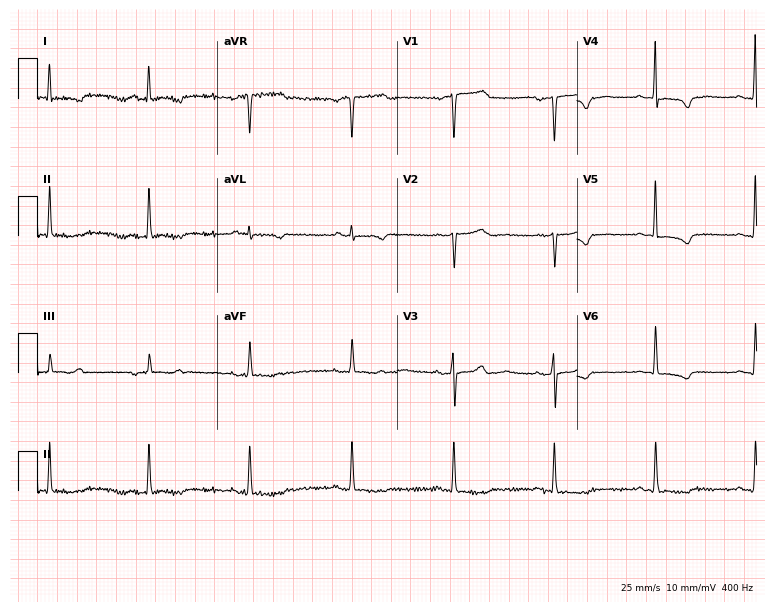
Resting 12-lead electrocardiogram. Patient: an 80-year-old female. None of these six findings is recorded: first-degree AV block, right bundle branch block, left bundle branch block, sinus bradycardia, atrial fibrillation, sinus tachycardia.